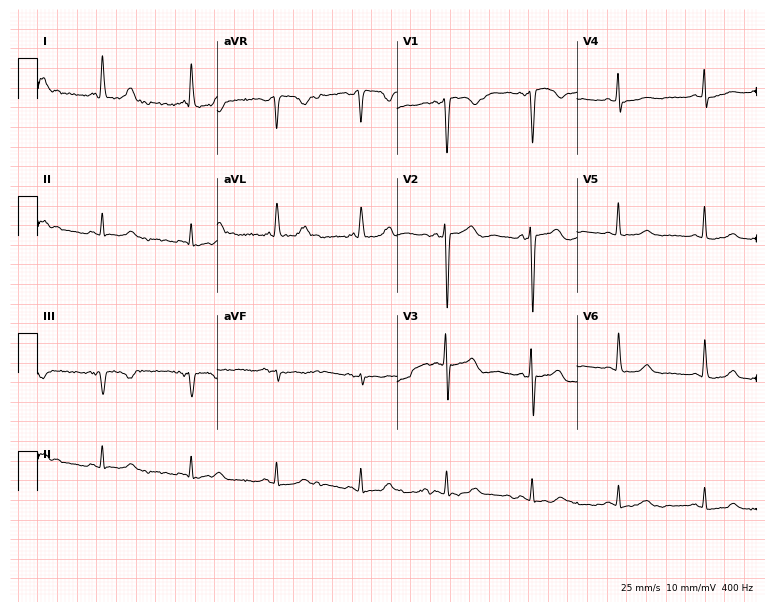
ECG — an 82-year-old female patient. Screened for six findings — first-degree AV block, right bundle branch block (RBBB), left bundle branch block (LBBB), sinus bradycardia, atrial fibrillation (AF), sinus tachycardia — none is recorded.